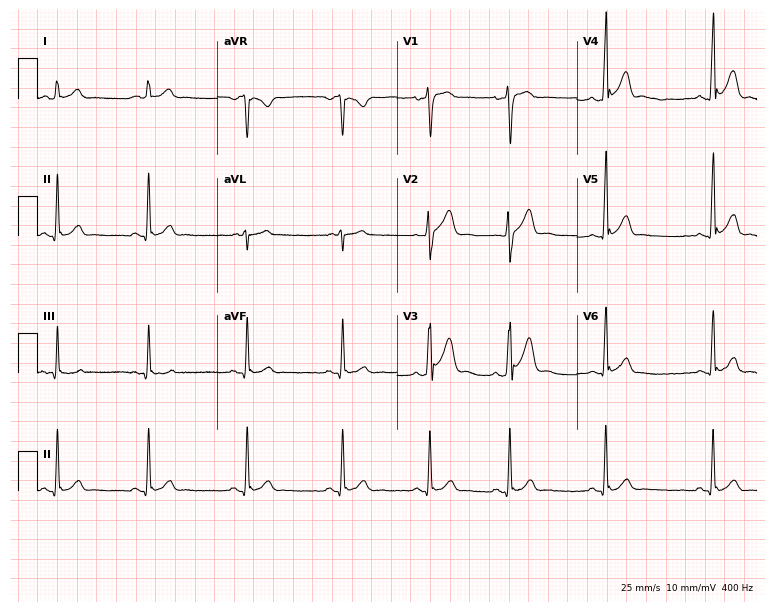
ECG (7.3-second recording at 400 Hz) — a 26-year-old male patient. Labelled as a normal ECG.